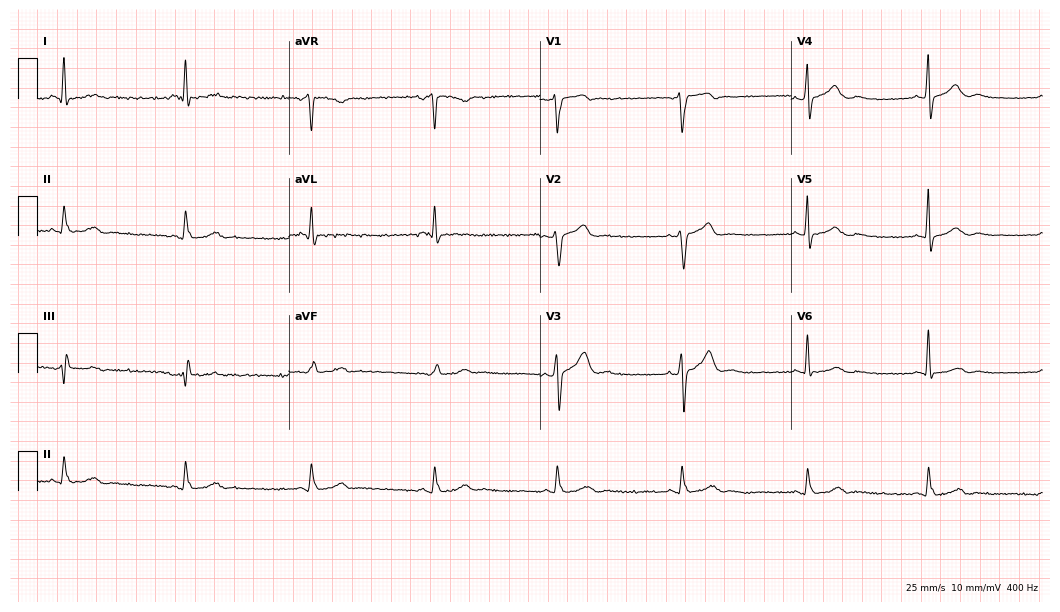
12-lead ECG (10.2-second recording at 400 Hz) from a man, 59 years old. Findings include sinus bradycardia (a sinus rate of 50 beats per minute or less).